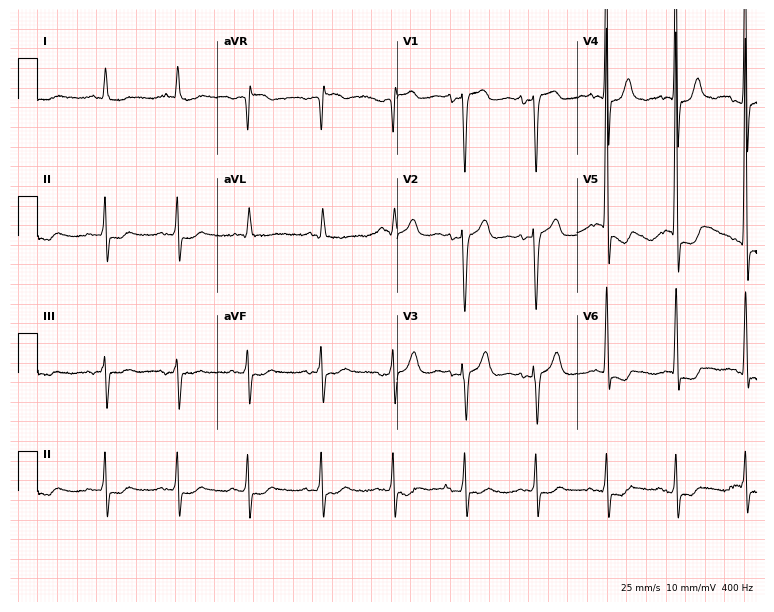
Standard 12-lead ECG recorded from an 81-year-old woman. None of these six findings is recorded: first-degree AV block, right bundle branch block (RBBB), left bundle branch block (LBBB), sinus bradycardia, atrial fibrillation (AF), sinus tachycardia. Findings outside these six are not listed.